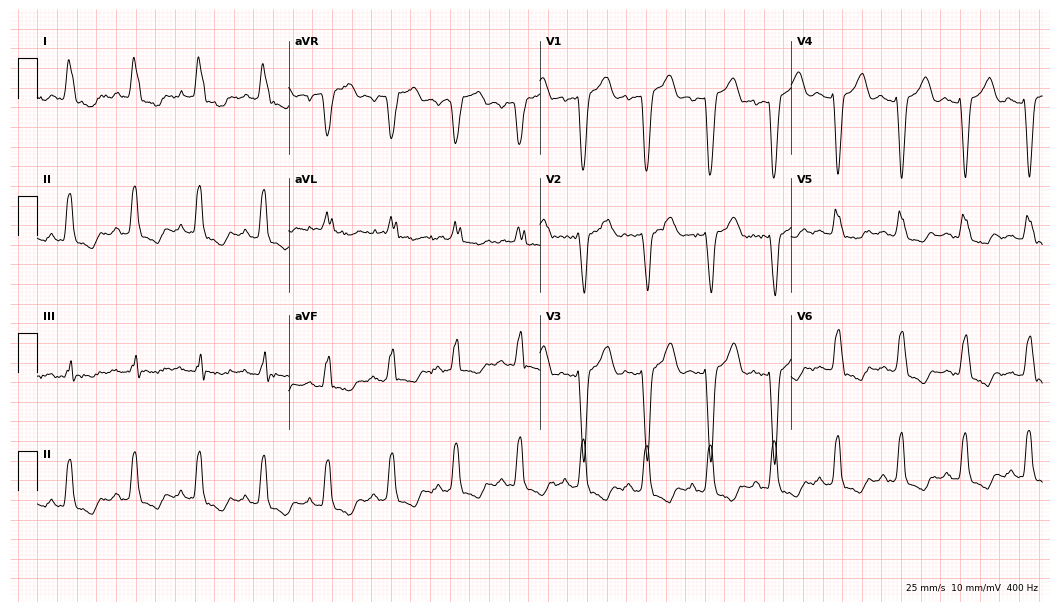
Electrocardiogram (10.2-second recording at 400 Hz), a 74-year-old woman. Interpretation includes left bundle branch block (LBBB).